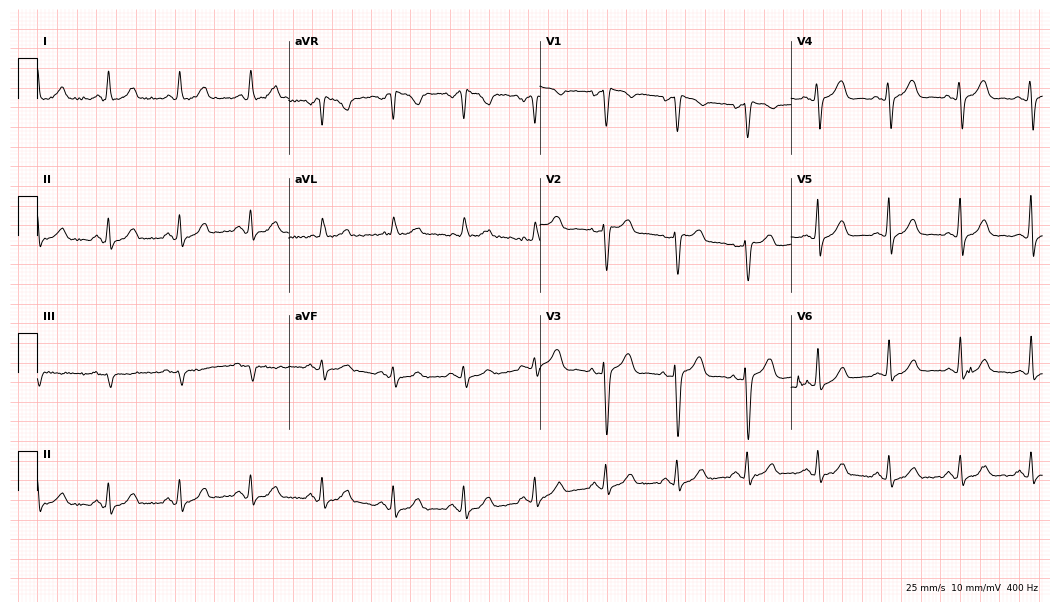
12-lead ECG from a woman, 74 years old. No first-degree AV block, right bundle branch block (RBBB), left bundle branch block (LBBB), sinus bradycardia, atrial fibrillation (AF) or sinus tachycardia recorded for this tracing. Findings outside these six are not listed.